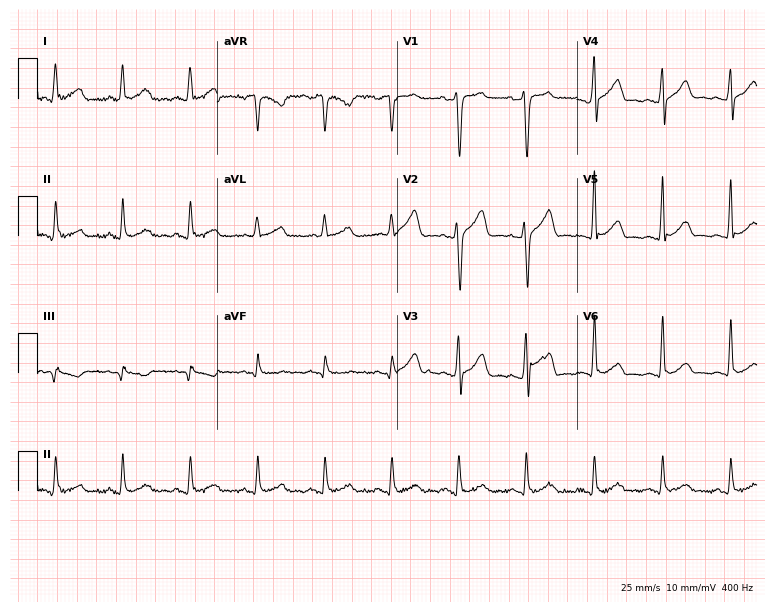
Standard 12-lead ECG recorded from a 40-year-old male patient (7.3-second recording at 400 Hz). None of these six findings is recorded: first-degree AV block, right bundle branch block, left bundle branch block, sinus bradycardia, atrial fibrillation, sinus tachycardia.